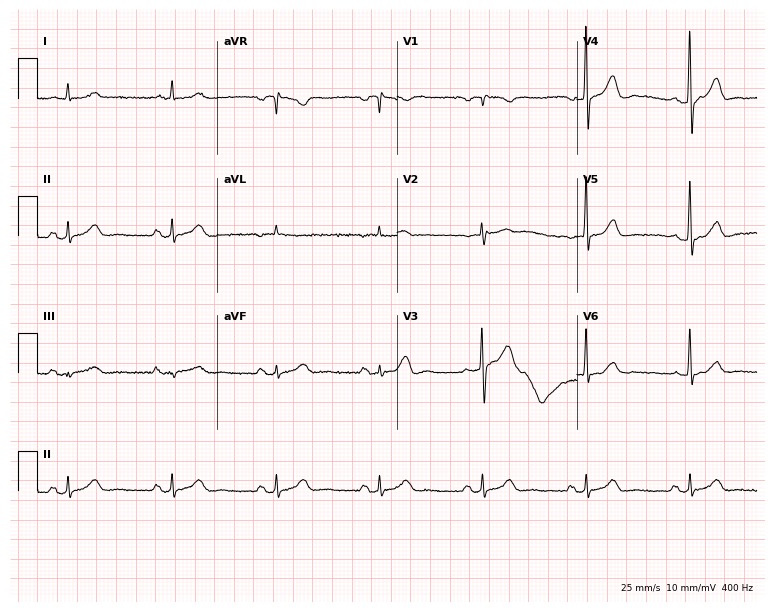
ECG (7.3-second recording at 400 Hz) — a male patient, 64 years old. Screened for six findings — first-degree AV block, right bundle branch block (RBBB), left bundle branch block (LBBB), sinus bradycardia, atrial fibrillation (AF), sinus tachycardia — none is recorded.